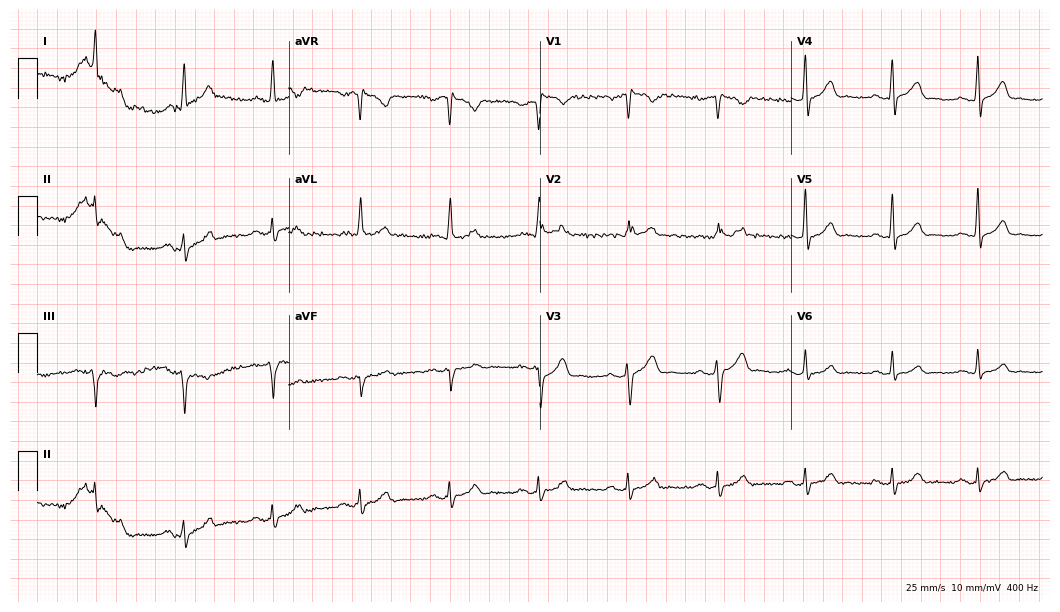
Standard 12-lead ECG recorded from a male, 36 years old. None of these six findings is recorded: first-degree AV block, right bundle branch block, left bundle branch block, sinus bradycardia, atrial fibrillation, sinus tachycardia. Only these six findings were labelled.